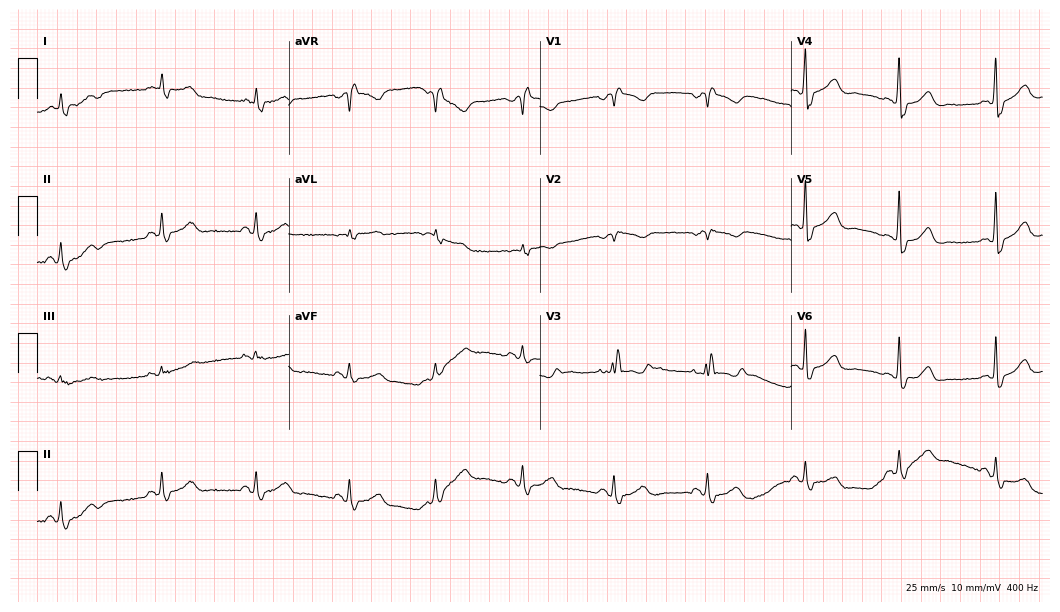
12-lead ECG from a woman, 60 years old. Shows right bundle branch block.